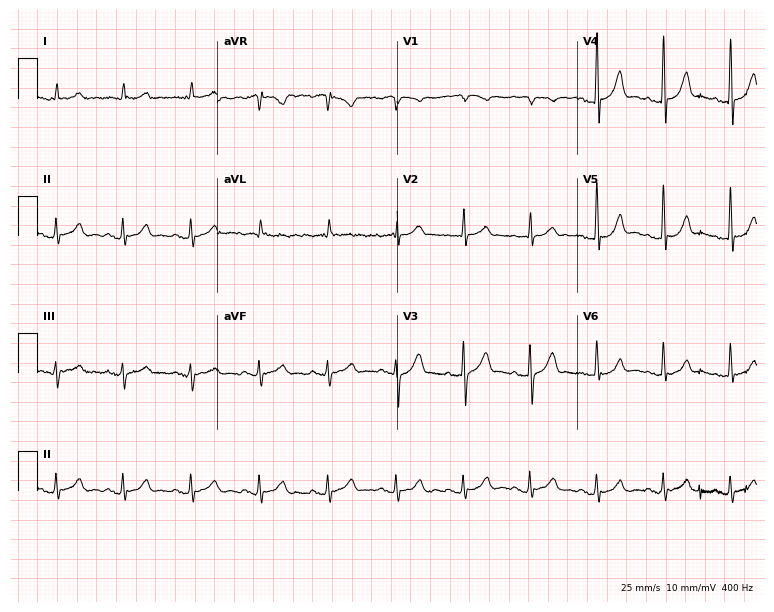
Electrocardiogram (7.3-second recording at 400 Hz), a man, 78 years old. Overall reading on record: normal ECG.